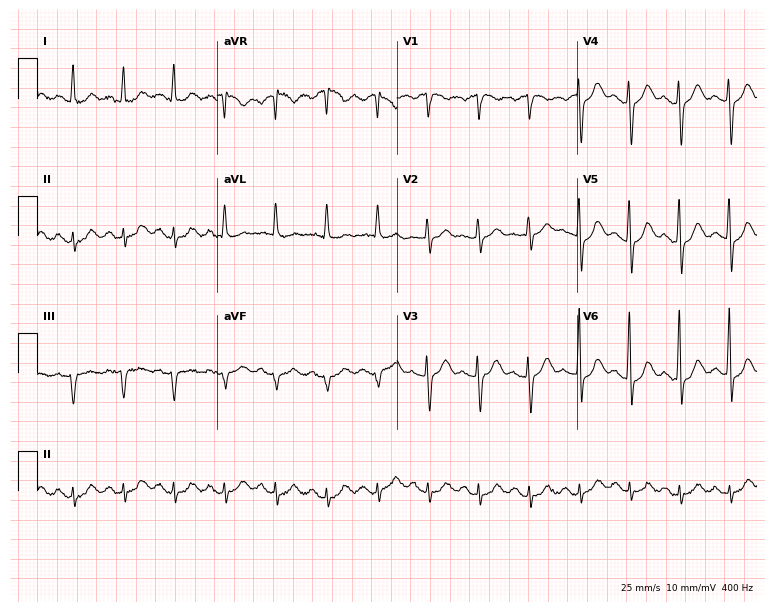
ECG (7.3-second recording at 400 Hz) — a male patient, 61 years old. Findings include sinus tachycardia (a sinus rate of 100 beats per minute or more).